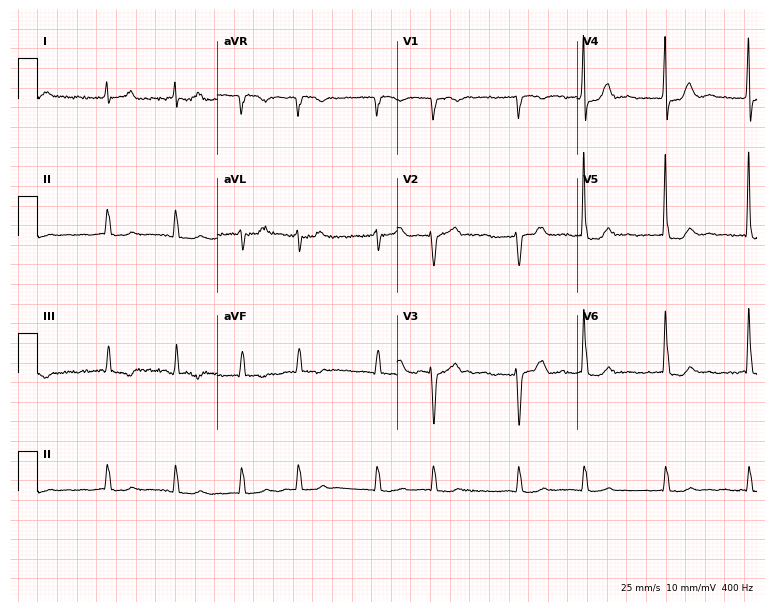
Electrocardiogram (7.3-second recording at 400 Hz), a female patient, 78 years old. Interpretation includes atrial fibrillation.